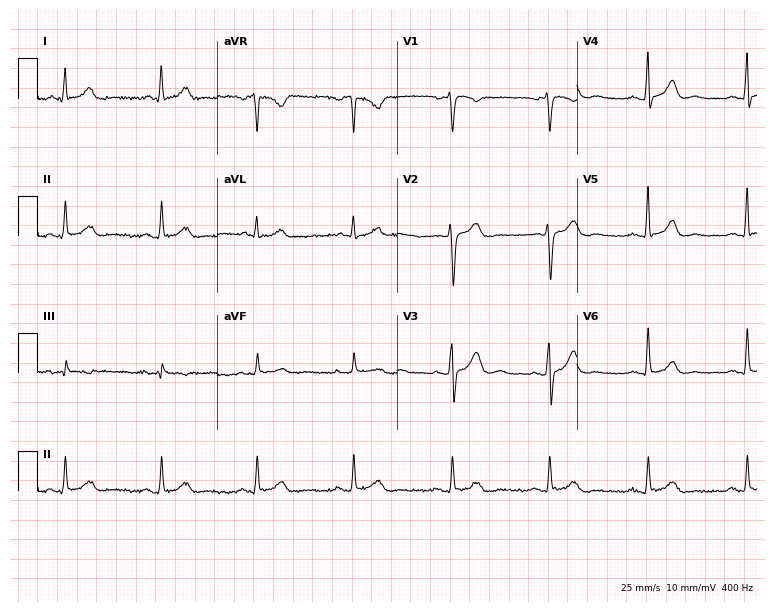
Standard 12-lead ECG recorded from a 52-year-old woman. Read as a normal ECG.